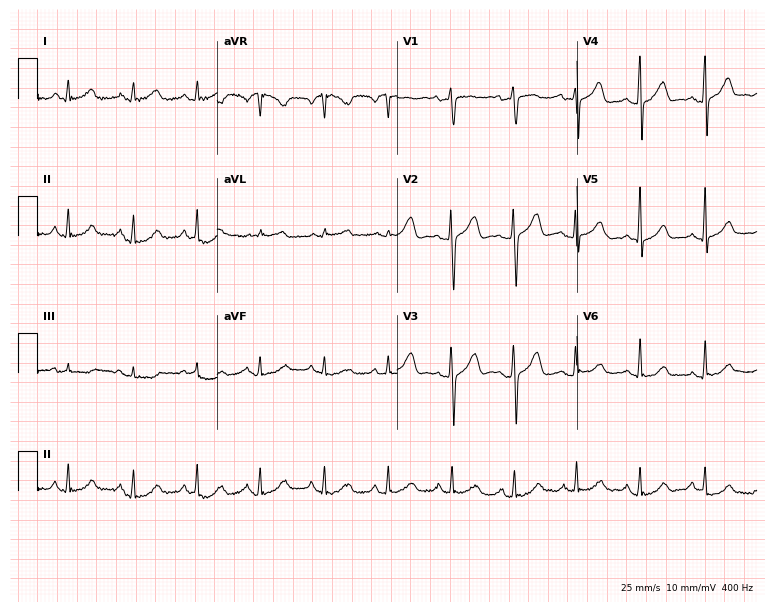
Electrocardiogram, a 39-year-old woman. Of the six screened findings (first-degree AV block, right bundle branch block, left bundle branch block, sinus bradycardia, atrial fibrillation, sinus tachycardia), none is recorded. Only these six findings were labelled.